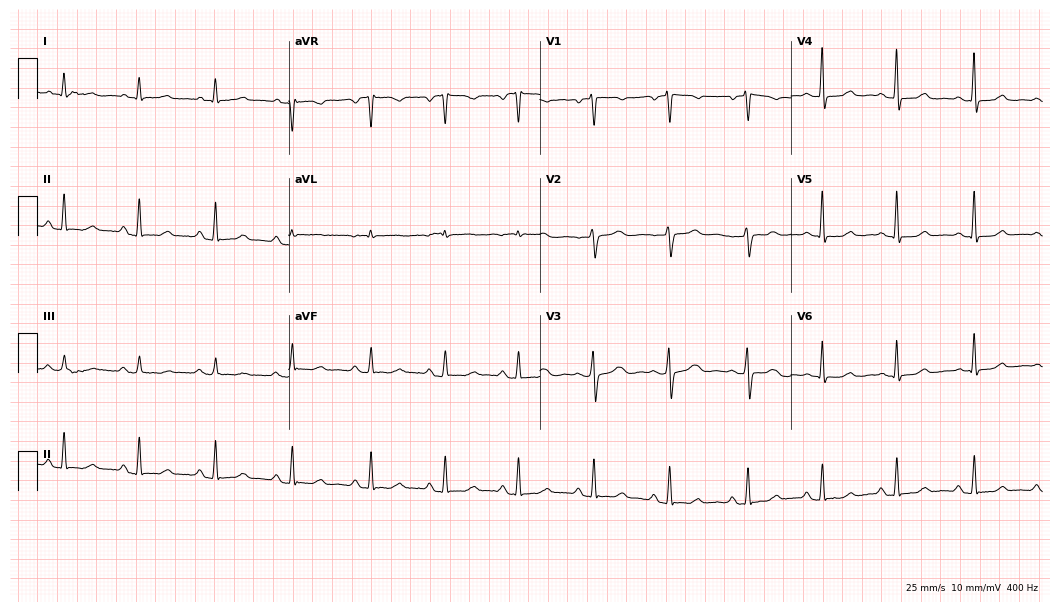
Standard 12-lead ECG recorded from a female patient, 49 years old. Read as a normal ECG.